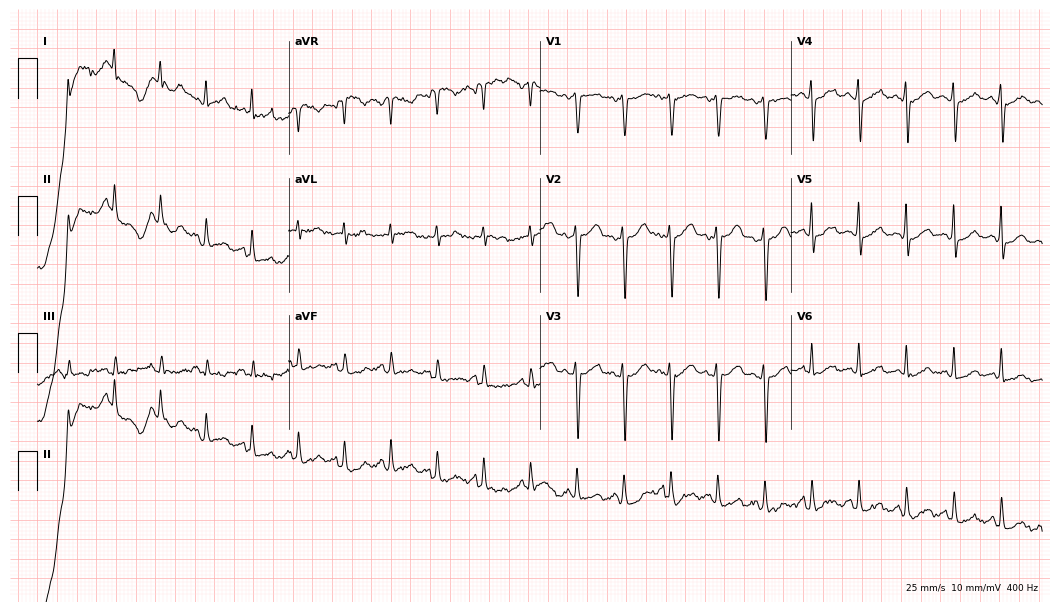
12-lead ECG from a 39-year-old woman. Shows sinus tachycardia (a sinus rate of 100 beats per minute or more).